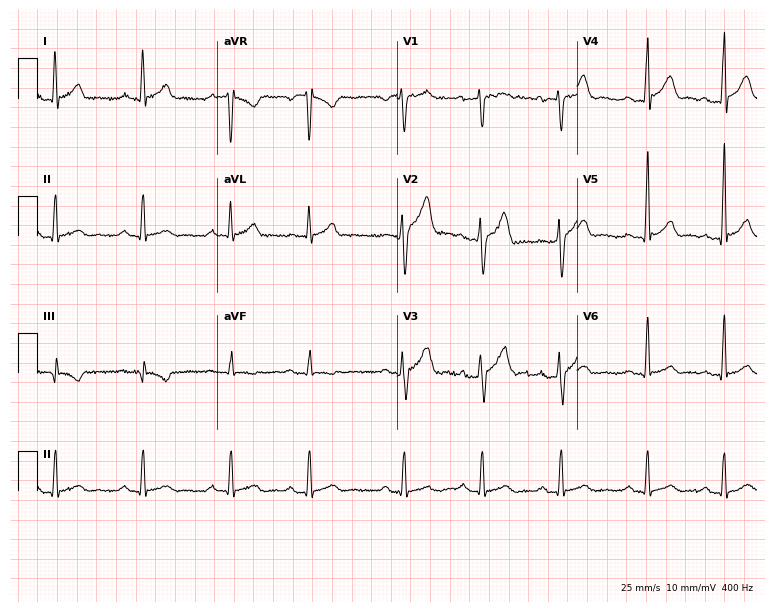
Standard 12-lead ECG recorded from a male patient, 33 years old (7.3-second recording at 400 Hz). None of these six findings is recorded: first-degree AV block, right bundle branch block (RBBB), left bundle branch block (LBBB), sinus bradycardia, atrial fibrillation (AF), sinus tachycardia. Other findings, if any, are not listed.